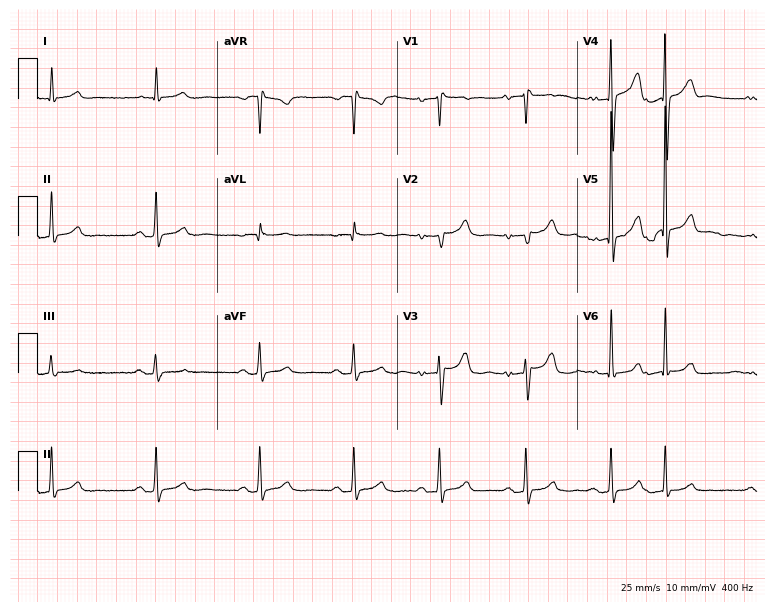
Electrocardiogram, an 80-year-old male. Overall reading on record: normal ECG.